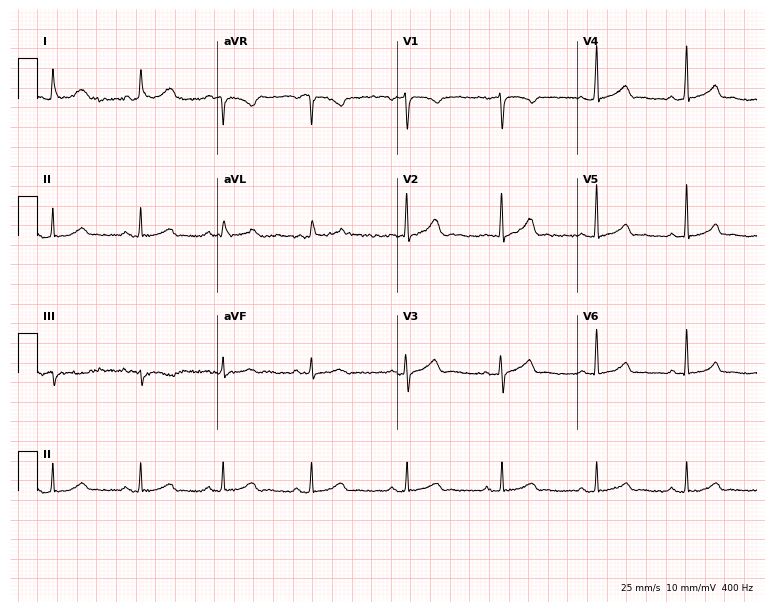
Electrocardiogram, a woman, 44 years old. Overall reading on record: normal ECG.